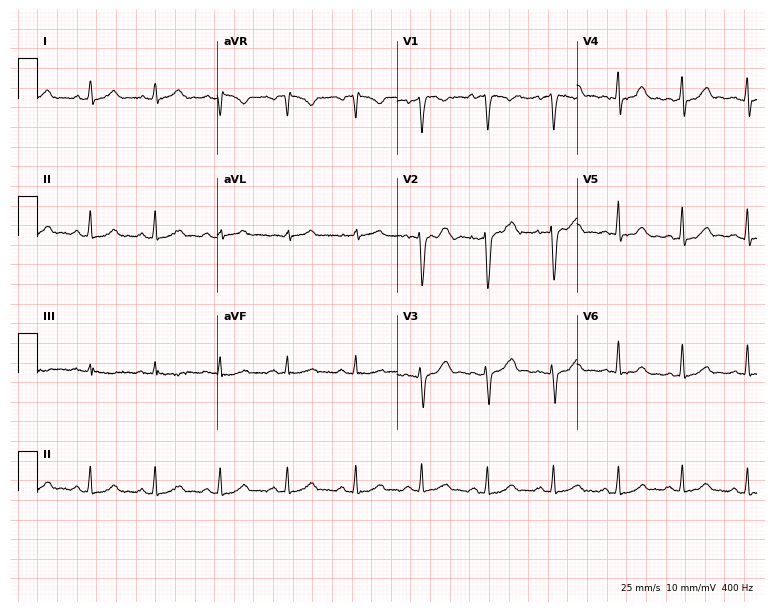
Standard 12-lead ECG recorded from a 32-year-old female. Read as a normal ECG.